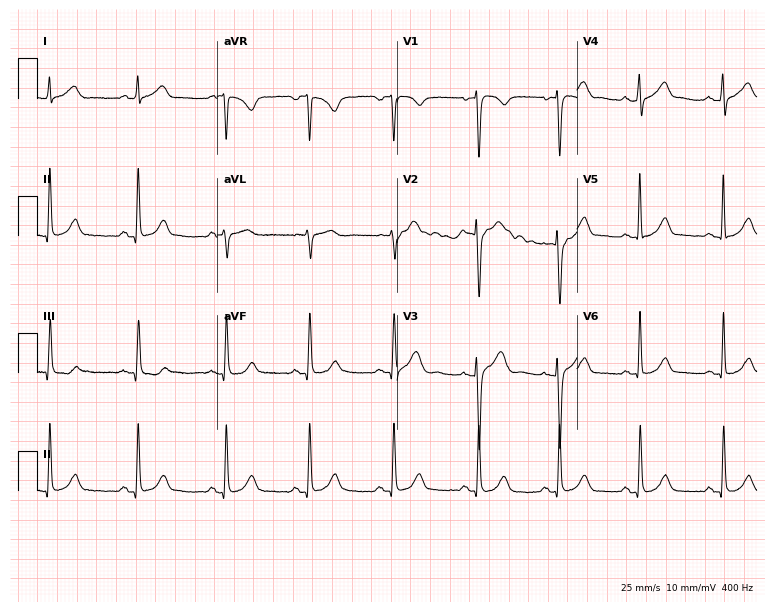
Standard 12-lead ECG recorded from a 35-year-old male (7.3-second recording at 400 Hz). Read as a normal ECG.